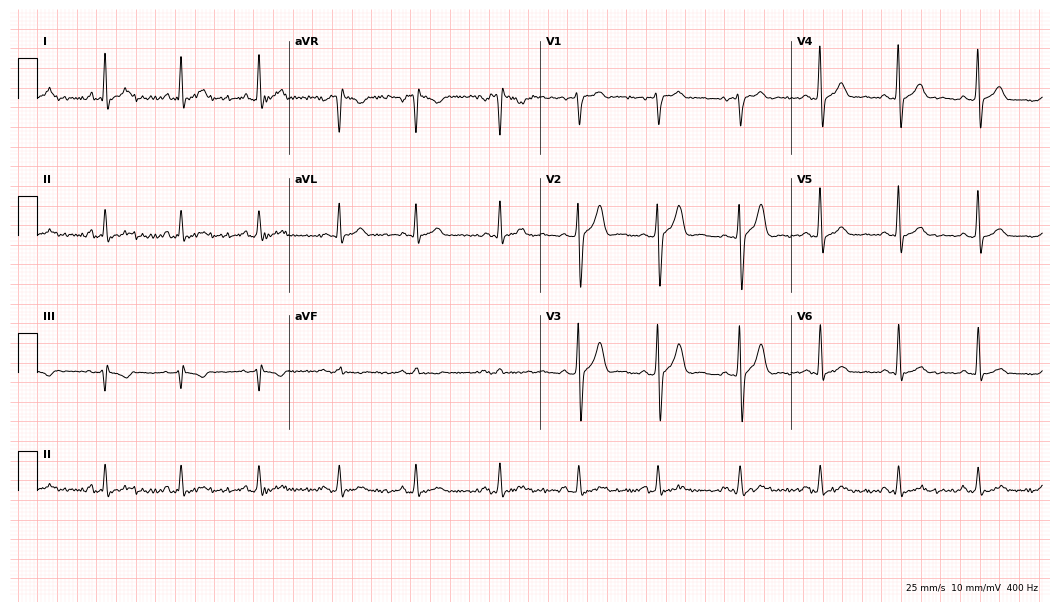
Standard 12-lead ECG recorded from a 31-year-old male patient (10.2-second recording at 400 Hz). None of these six findings is recorded: first-degree AV block, right bundle branch block (RBBB), left bundle branch block (LBBB), sinus bradycardia, atrial fibrillation (AF), sinus tachycardia. Only these six findings were labelled.